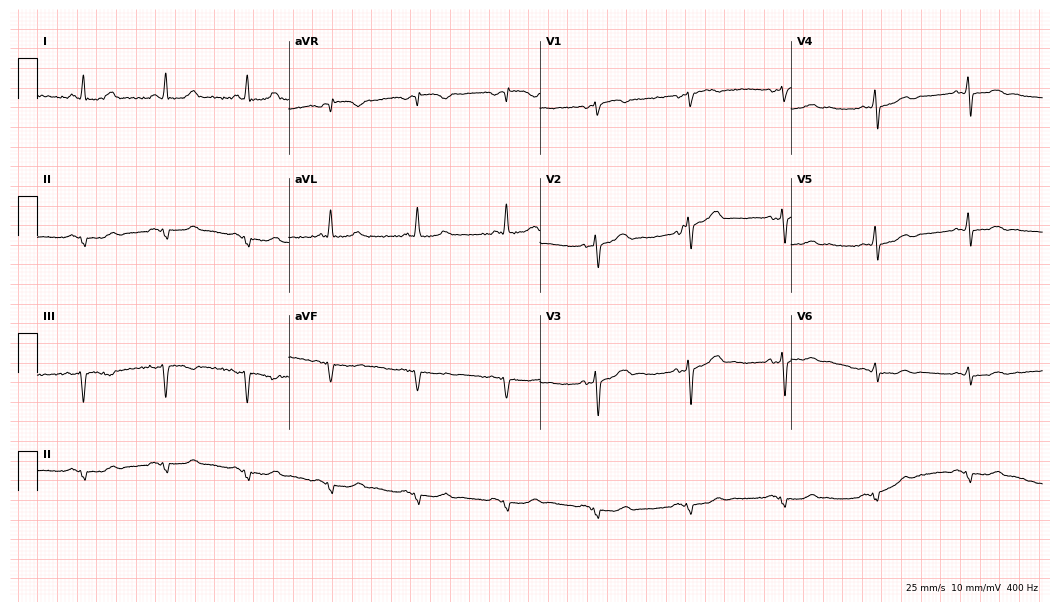
ECG (10.2-second recording at 400 Hz) — a female patient, 62 years old. Screened for six findings — first-degree AV block, right bundle branch block (RBBB), left bundle branch block (LBBB), sinus bradycardia, atrial fibrillation (AF), sinus tachycardia — none is recorded.